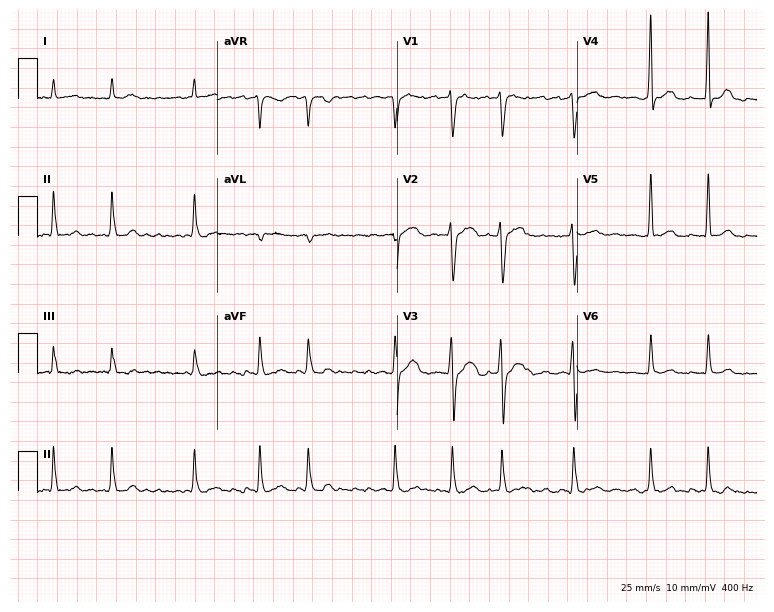
Standard 12-lead ECG recorded from a male, 67 years old. The tracing shows atrial fibrillation.